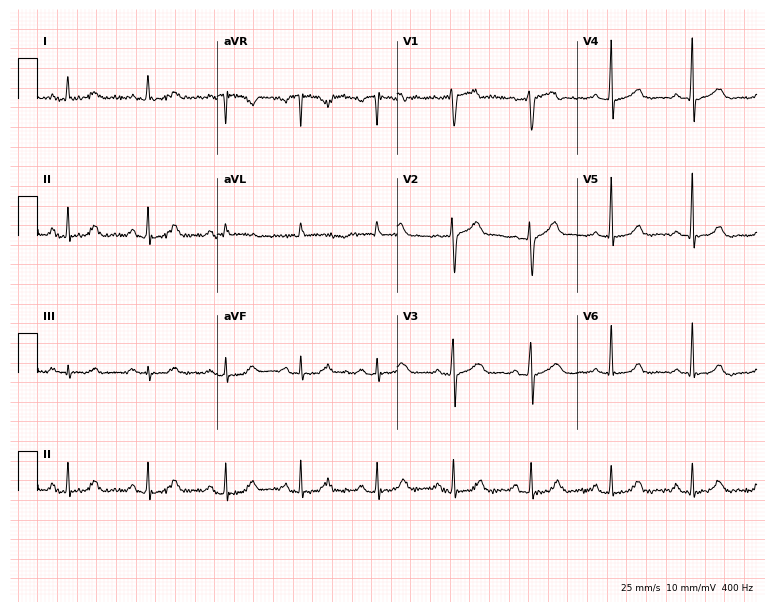
ECG (7.3-second recording at 400 Hz) — a female patient, 63 years old. Labelled as a normal ECG.